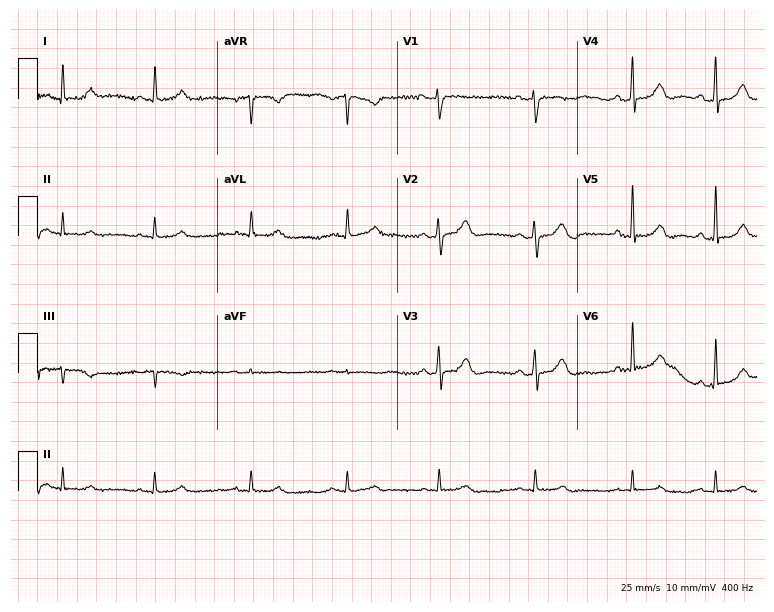
Resting 12-lead electrocardiogram (7.3-second recording at 400 Hz). Patient: a female, 57 years old. None of these six findings is recorded: first-degree AV block, right bundle branch block (RBBB), left bundle branch block (LBBB), sinus bradycardia, atrial fibrillation (AF), sinus tachycardia.